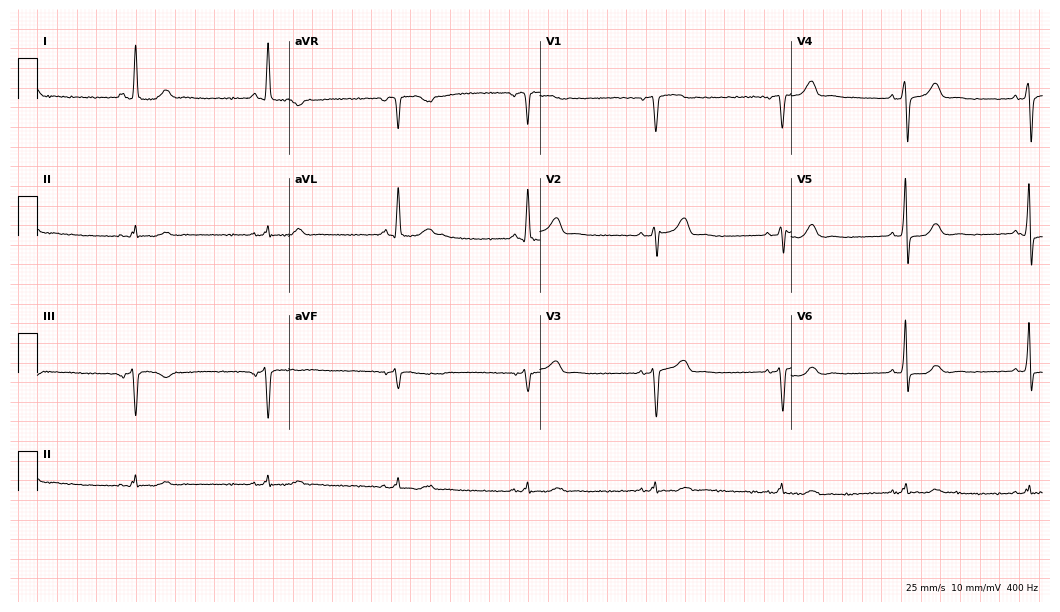
Electrocardiogram, a woman, 65 years old. Of the six screened findings (first-degree AV block, right bundle branch block, left bundle branch block, sinus bradycardia, atrial fibrillation, sinus tachycardia), none is recorded.